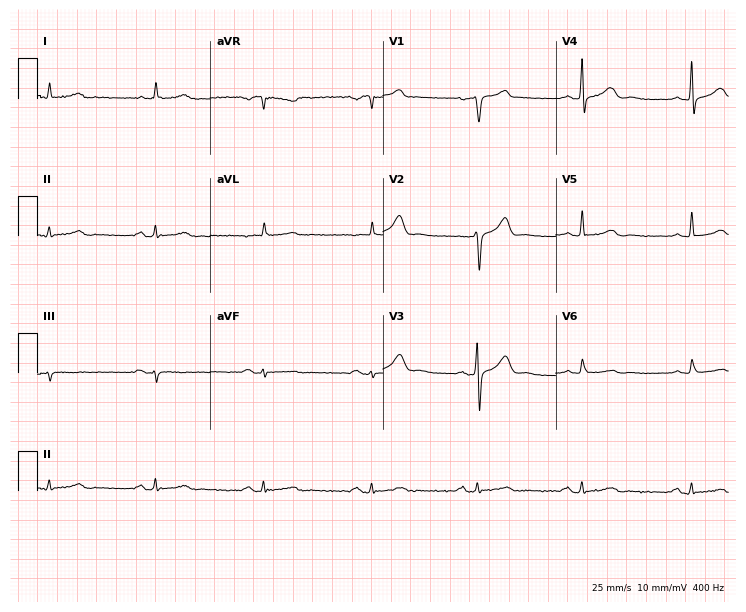
Standard 12-lead ECG recorded from a male, 61 years old (7-second recording at 400 Hz). None of these six findings is recorded: first-degree AV block, right bundle branch block, left bundle branch block, sinus bradycardia, atrial fibrillation, sinus tachycardia.